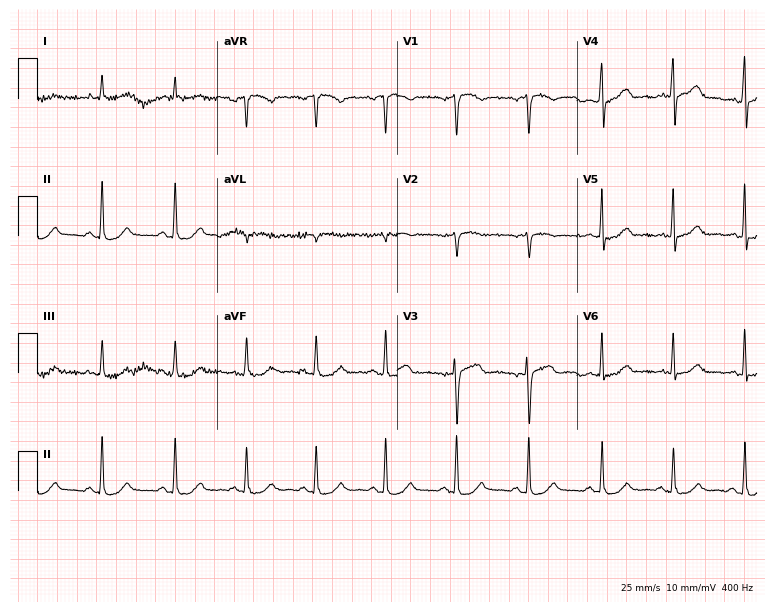
Standard 12-lead ECG recorded from a 36-year-old woman. Read as a normal ECG.